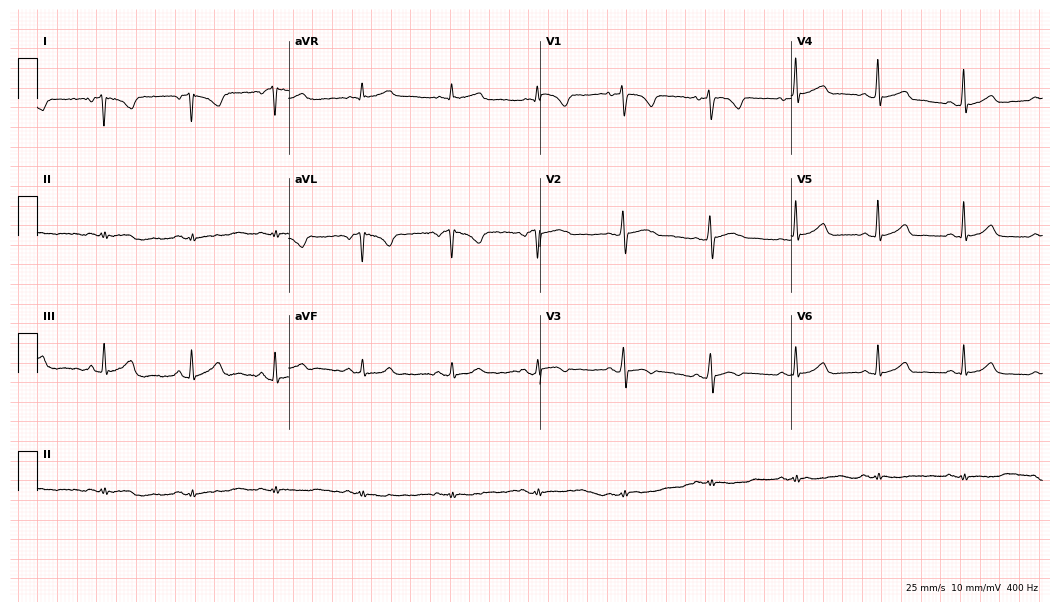
Standard 12-lead ECG recorded from a 36-year-old woman. None of these six findings is recorded: first-degree AV block, right bundle branch block (RBBB), left bundle branch block (LBBB), sinus bradycardia, atrial fibrillation (AF), sinus tachycardia. Other findings, if any, are not listed.